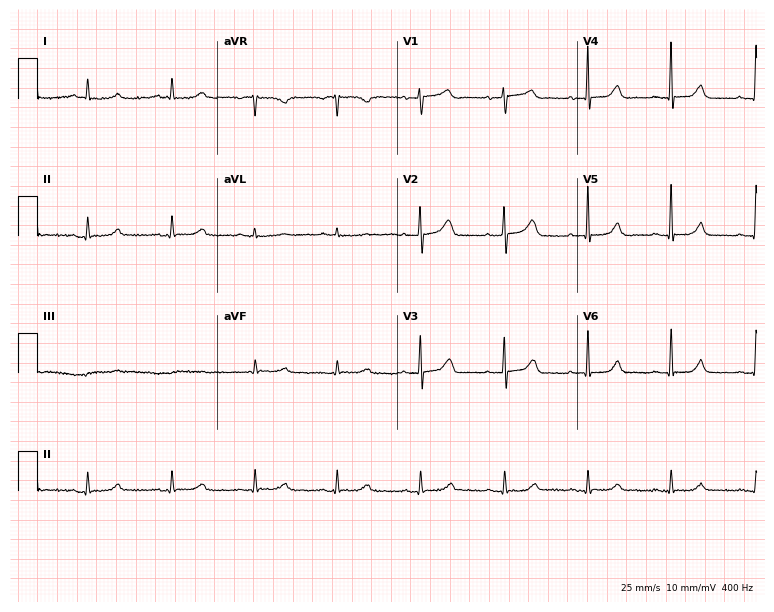
12-lead ECG from a 67-year-old female patient. Recorded interpretation: within normal limits.